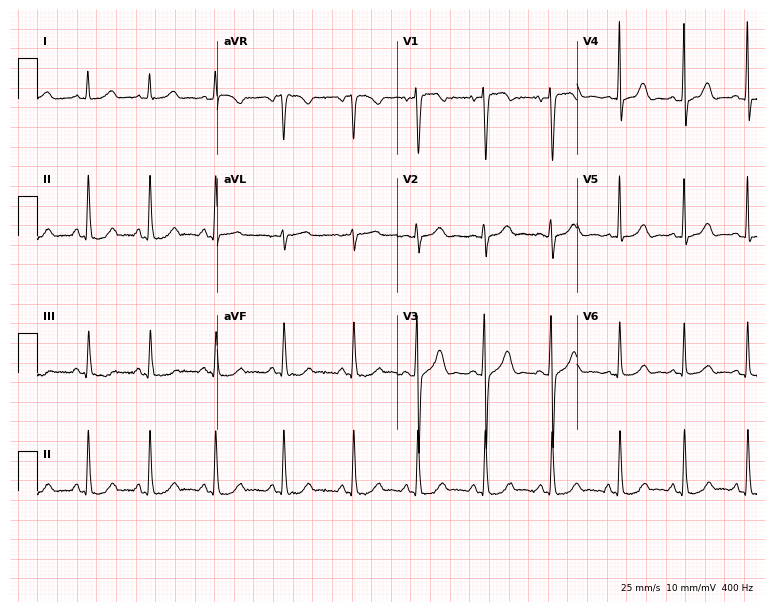
Standard 12-lead ECG recorded from a female patient, 35 years old. Read as a normal ECG.